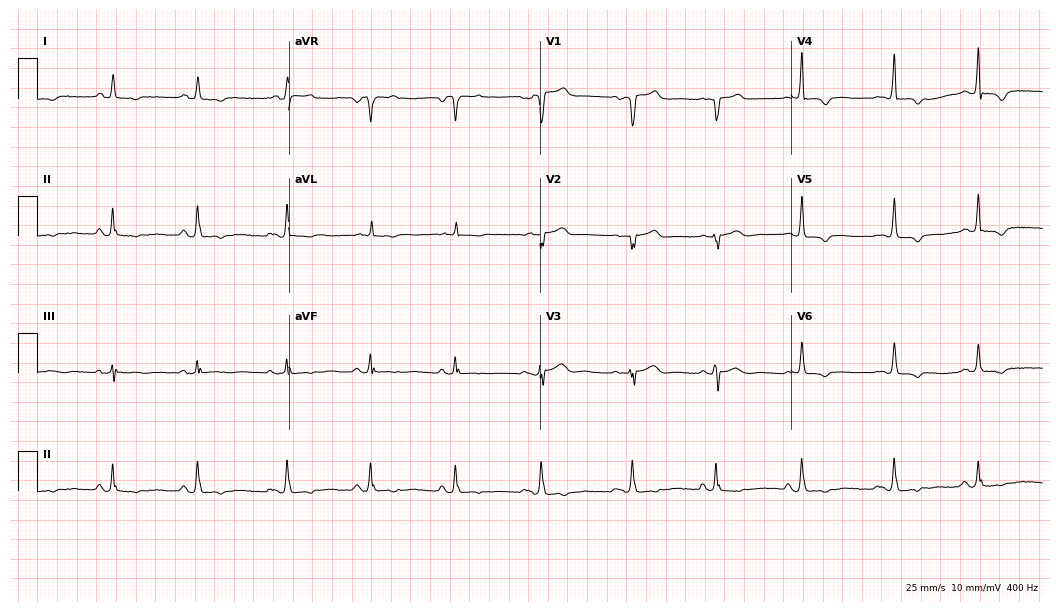
12-lead ECG from a male, 75 years old (10.2-second recording at 400 Hz). No first-degree AV block, right bundle branch block, left bundle branch block, sinus bradycardia, atrial fibrillation or sinus tachycardia recorded for this tracing. Findings outside these six are not listed.